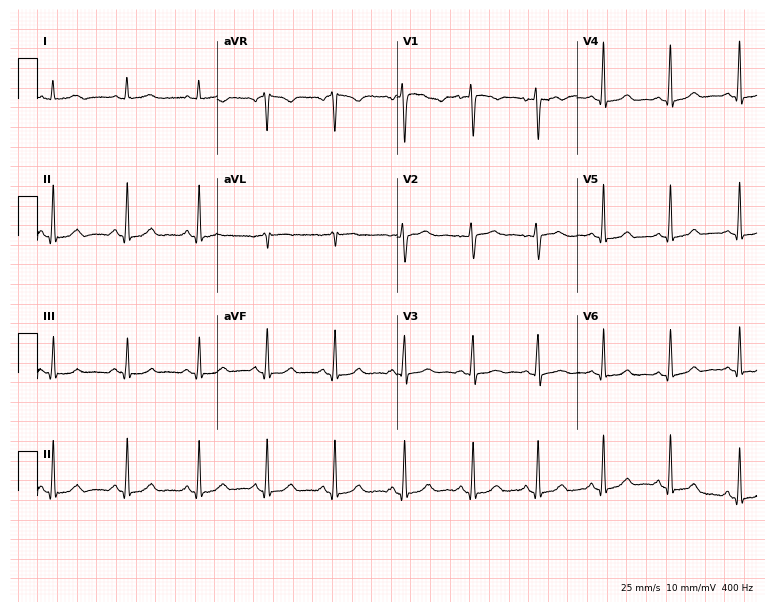
Electrocardiogram (7.3-second recording at 400 Hz), a 28-year-old female patient. Overall reading on record: normal ECG.